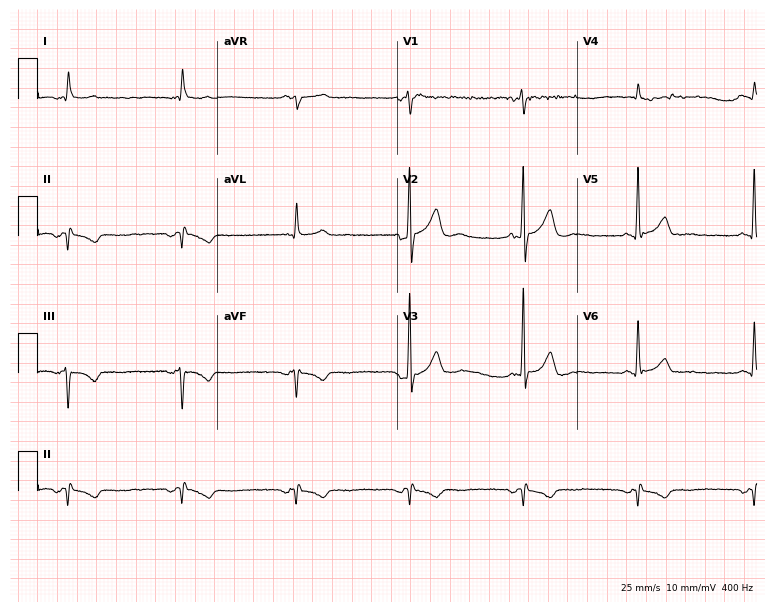
Electrocardiogram, a man, 55 years old. Of the six screened findings (first-degree AV block, right bundle branch block, left bundle branch block, sinus bradycardia, atrial fibrillation, sinus tachycardia), none is recorded.